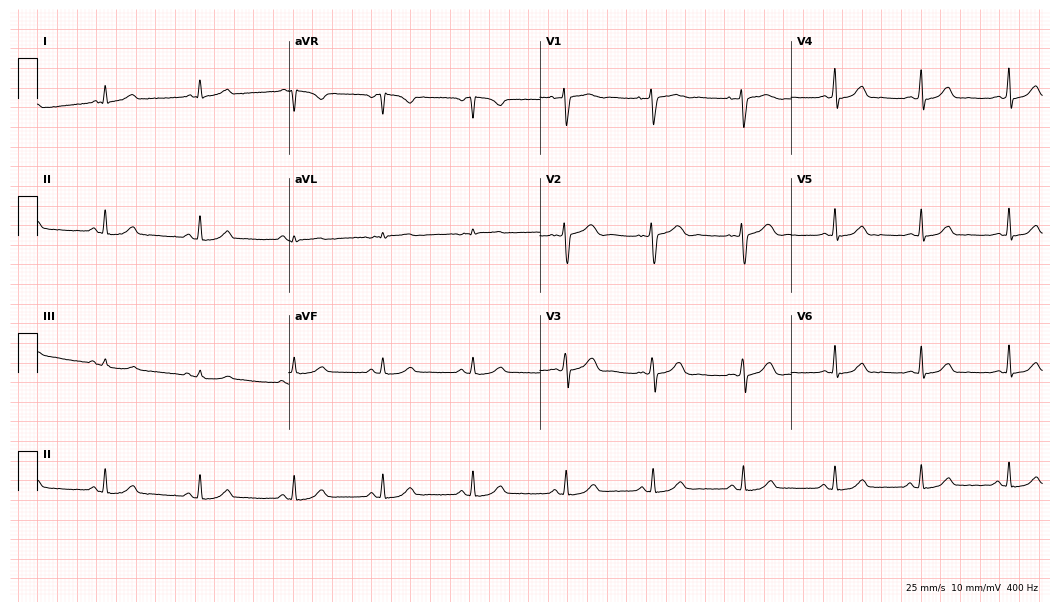
12-lead ECG from a female patient, 40 years old (10.2-second recording at 400 Hz). Recorded interpretation: within normal limits.